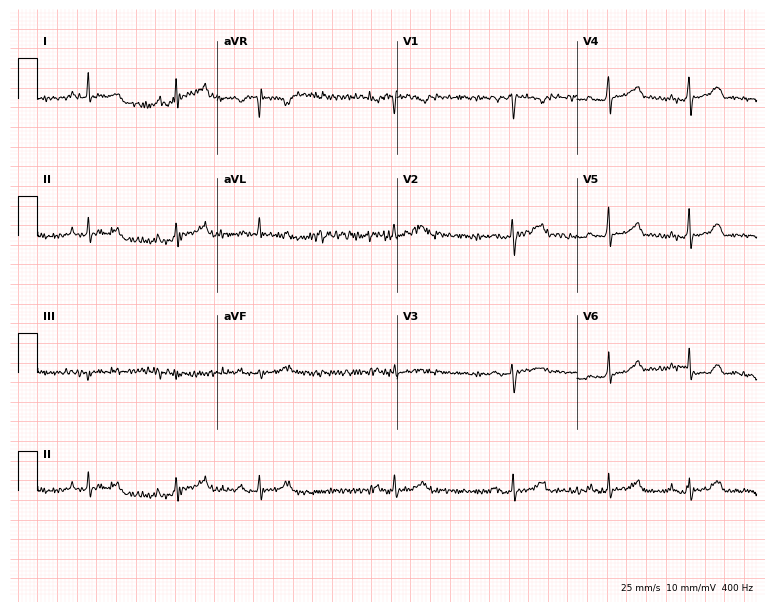
12-lead ECG from a female, 20 years old (7.3-second recording at 400 Hz). No first-degree AV block, right bundle branch block (RBBB), left bundle branch block (LBBB), sinus bradycardia, atrial fibrillation (AF) or sinus tachycardia recorded for this tracing. Other findings, if any, are not listed.